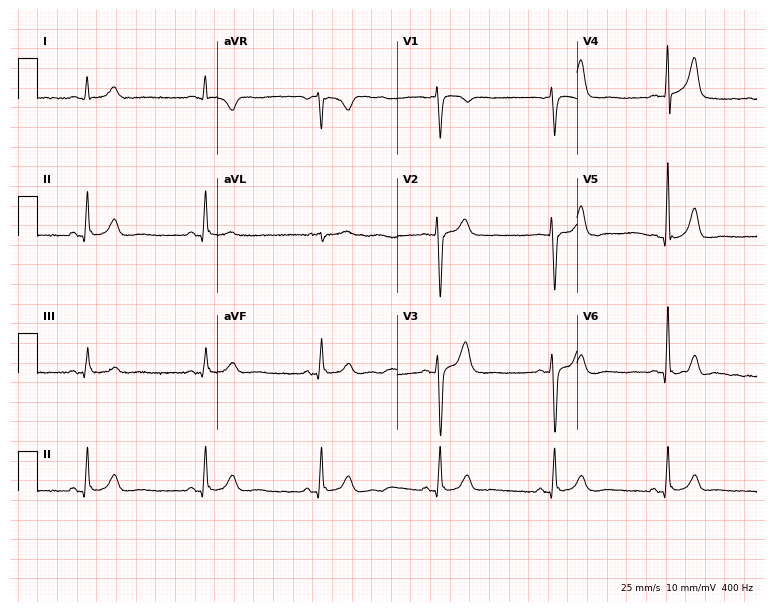
12-lead ECG from a male patient, 69 years old (7.3-second recording at 400 Hz). Recorded interpretation: within normal limits.